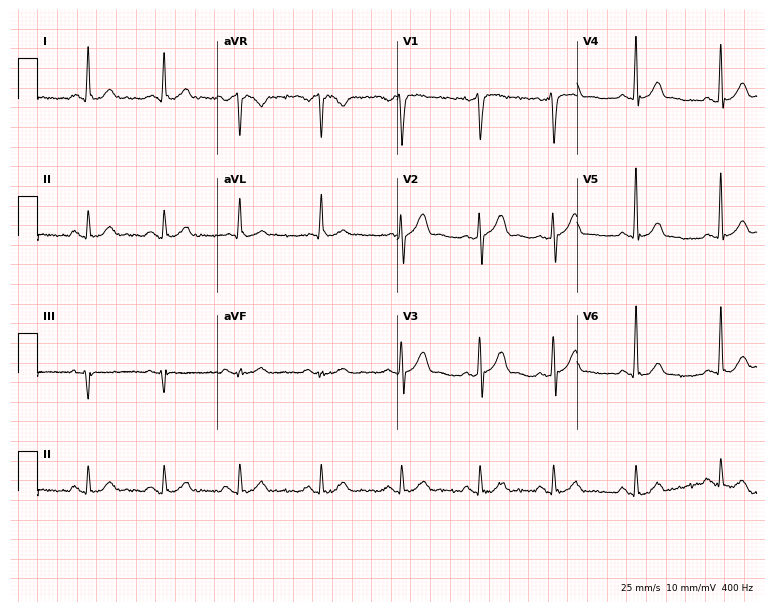
ECG (7.3-second recording at 400 Hz) — a 33-year-old man. Labelled as a normal ECG.